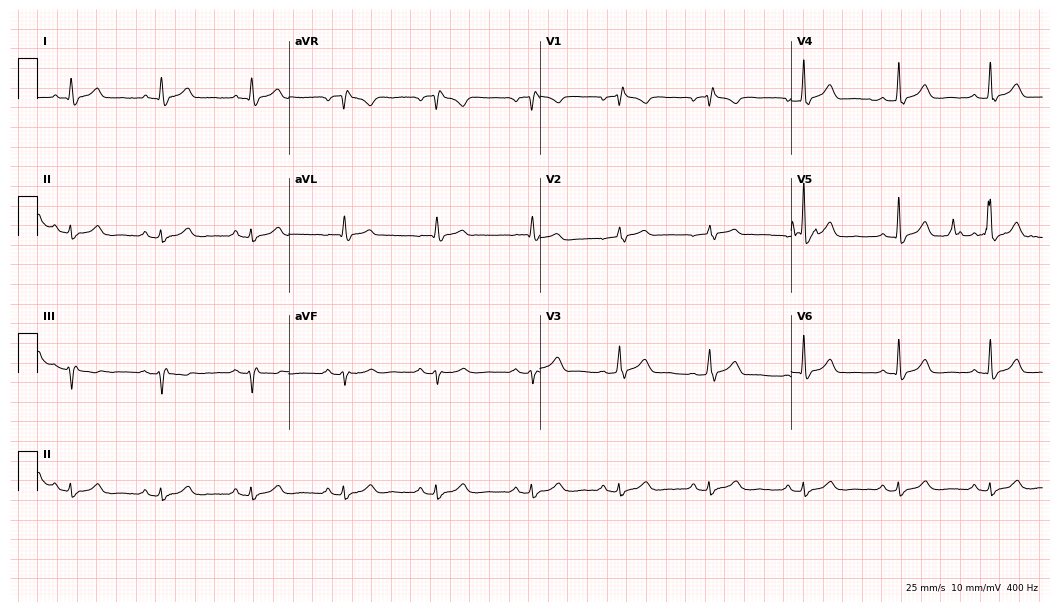
ECG (10.2-second recording at 400 Hz) — a man, 78 years old. Screened for six findings — first-degree AV block, right bundle branch block, left bundle branch block, sinus bradycardia, atrial fibrillation, sinus tachycardia — none is recorded.